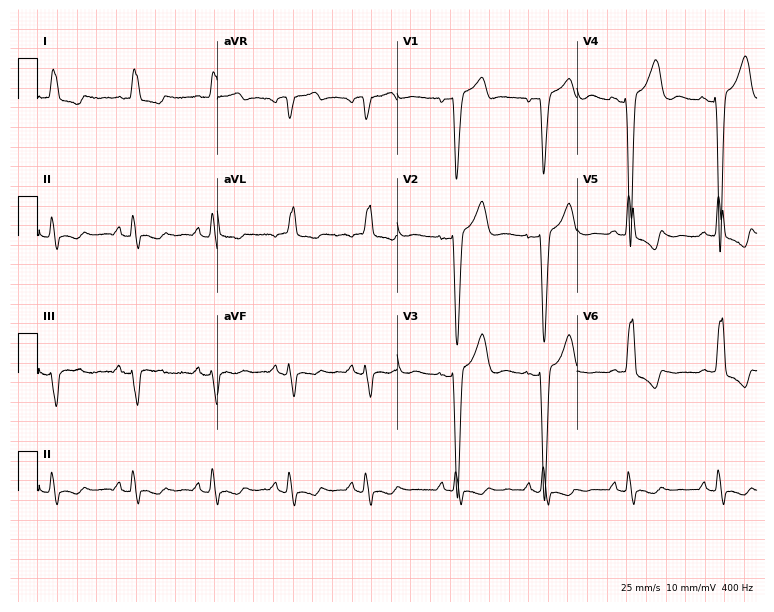
12-lead ECG (7.3-second recording at 400 Hz) from a female patient, 61 years old. Findings include left bundle branch block.